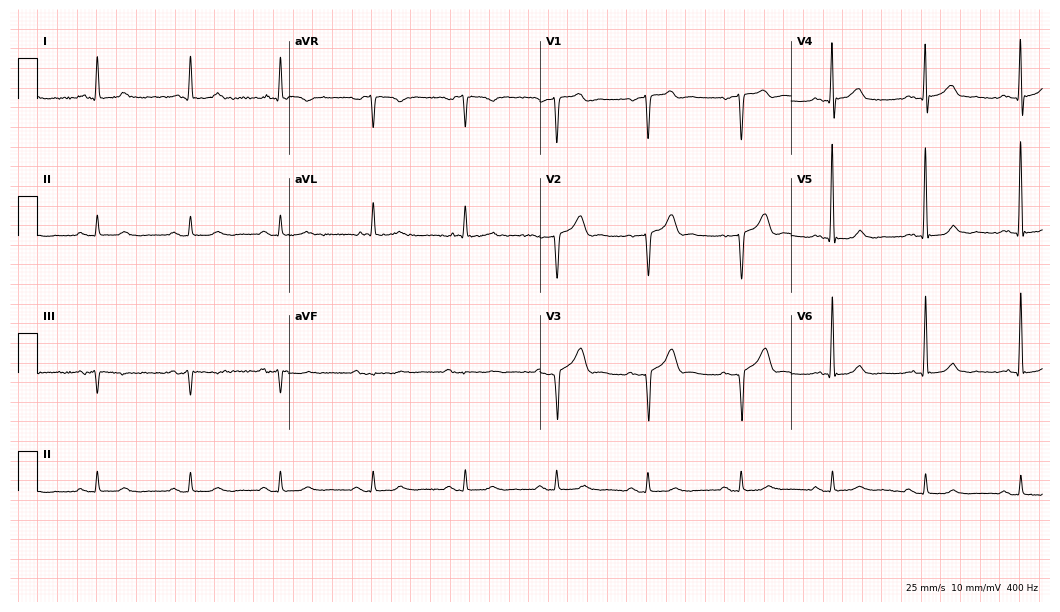
12-lead ECG from a man, 78 years old (10.2-second recording at 400 Hz). No first-degree AV block, right bundle branch block (RBBB), left bundle branch block (LBBB), sinus bradycardia, atrial fibrillation (AF) or sinus tachycardia recorded for this tracing.